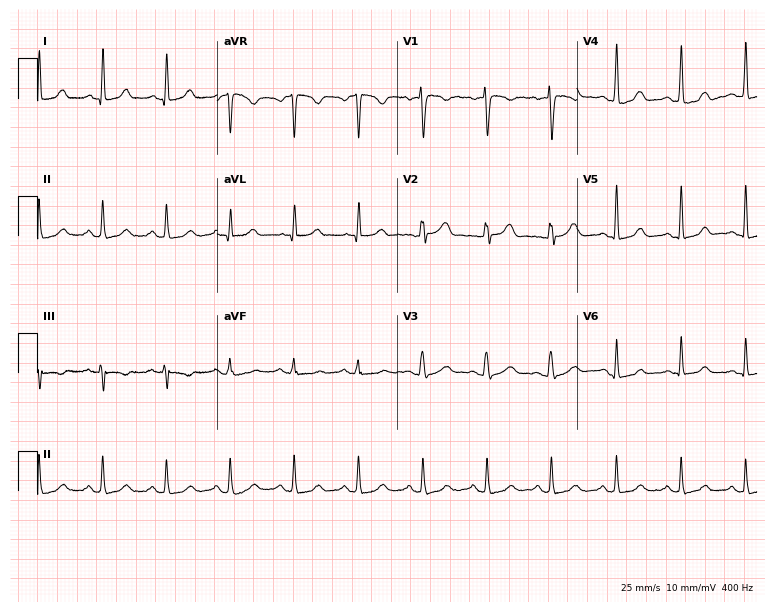
Standard 12-lead ECG recorded from a 47-year-old woman. Read as a normal ECG.